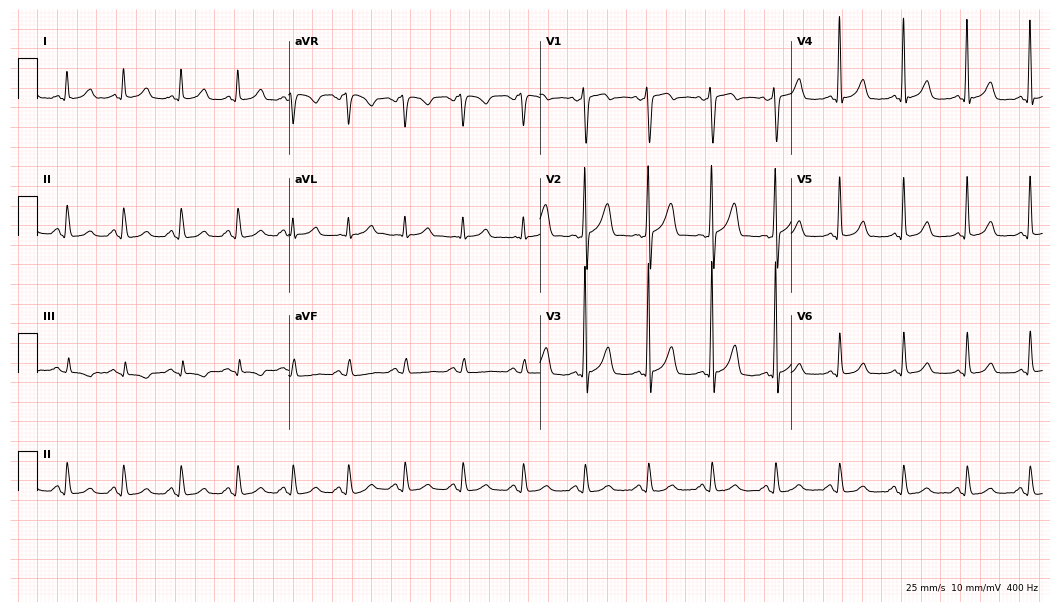
ECG (10.2-second recording at 400 Hz) — a male patient, 60 years old. Labelled as a normal ECG.